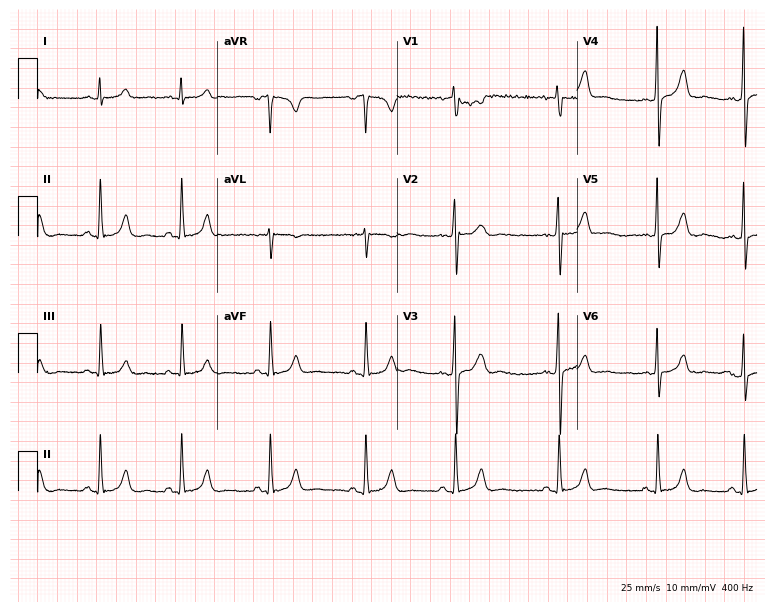
12-lead ECG (7.3-second recording at 400 Hz) from a female patient, 18 years old. Labelled as a normal ECG.